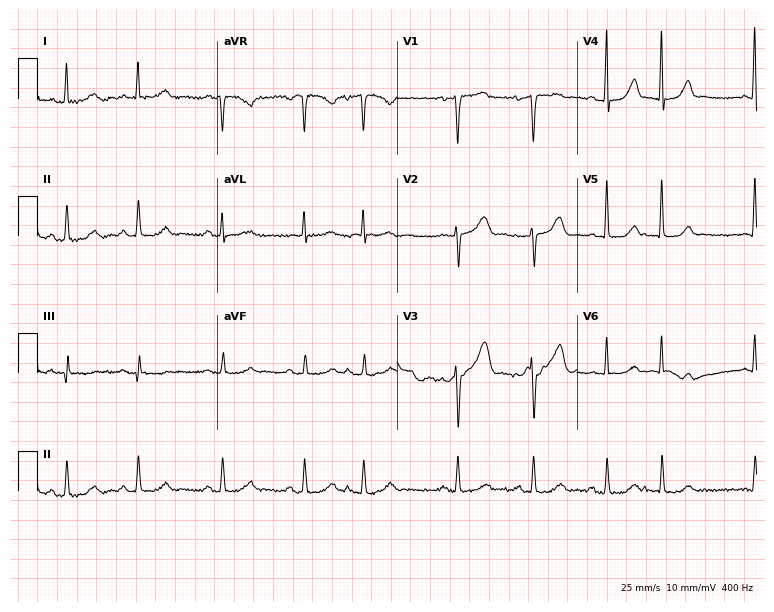
12-lead ECG from a woman, 64 years old. Screened for six findings — first-degree AV block, right bundle branch block, left bundle branch block, sinus bradycardia, atrial fibrillation, sinus tachycardia — none is recorded. Findings outside these six are not listed.